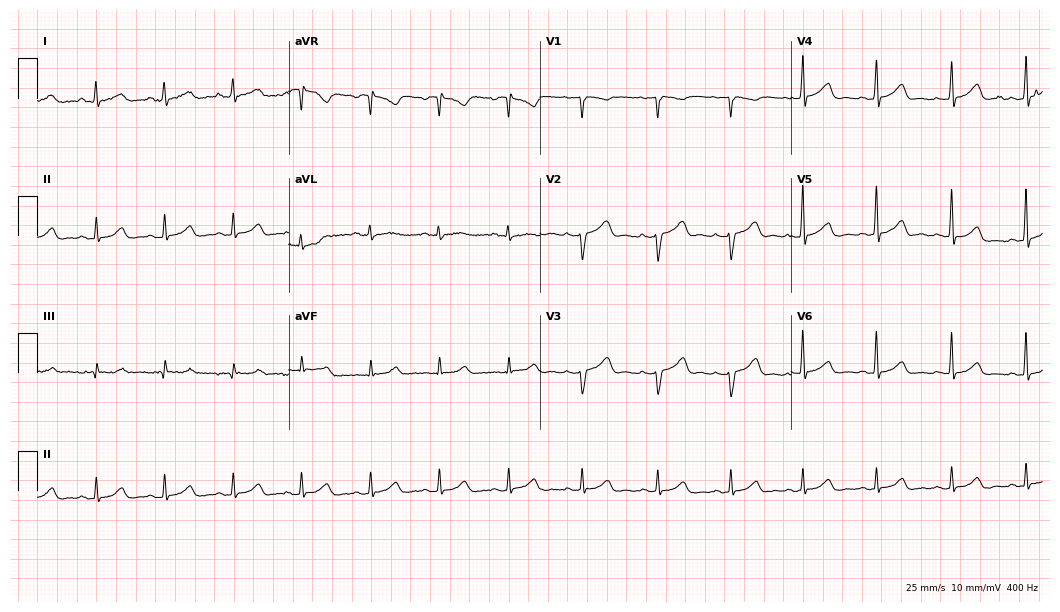
Electrocardiogram (10.2-second recording at 400 Hz), a female, 35 years old. Of the six screened findings (first-degree AV block, right bundle branch block, left bundle branch block, sinus bradycardia, atrial fibrillation, sinus tachycardia), none is recorded. Only these six findings were labelled.